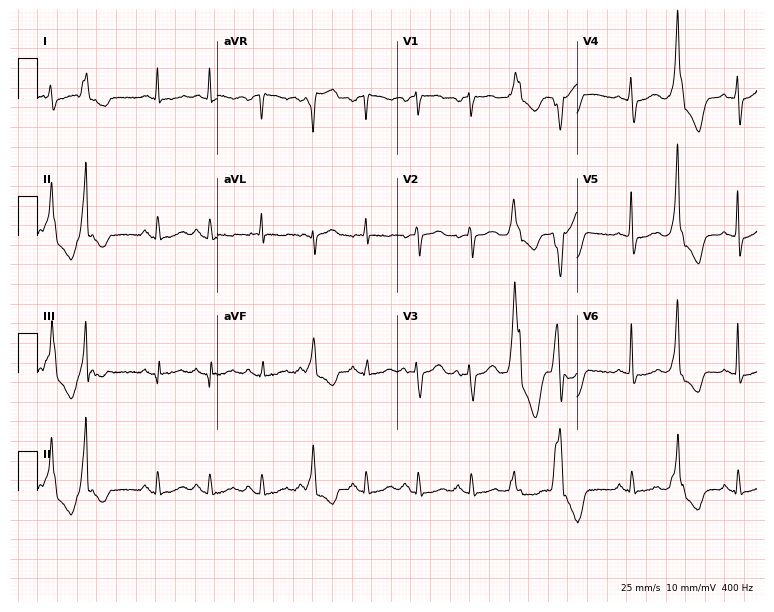
12-lead ECG from a 79-year-old man. No first-degree AV block, right bundle branch block, left bundle branch block, sinus bradycardia, atrial fibrillation or sinus tachycardia recorded for this tracing.